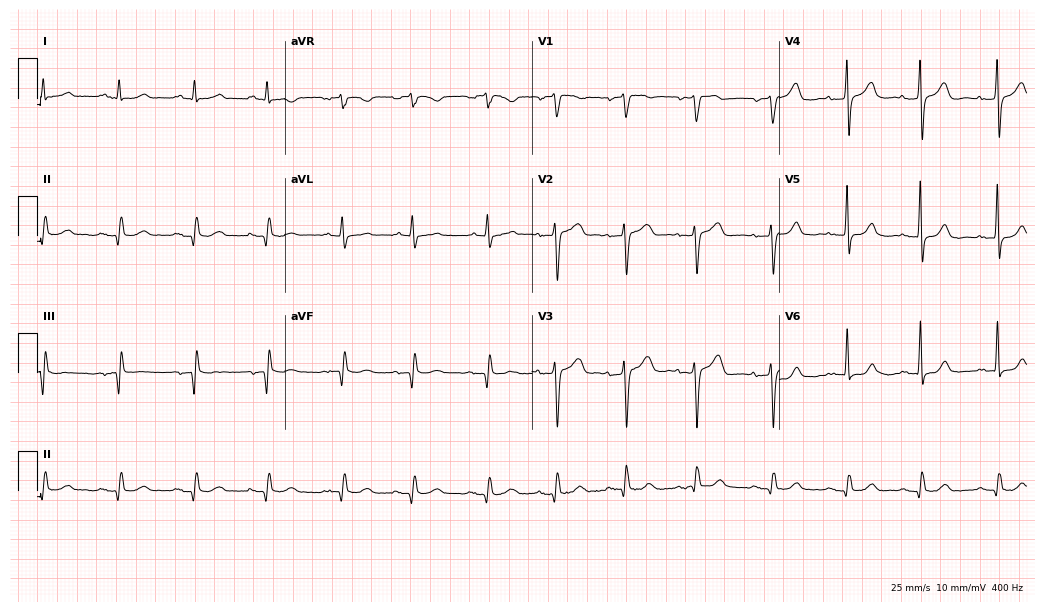
Electrocardiogram (10.1-second recording at 400 Hz), a male, 74 years old. Of the six screened findings (first-degree AV block, right bundle branch block, left bundle branch block, sinus bradycardia, atrial fibrillation, sinus tachycardia), none is recorded.